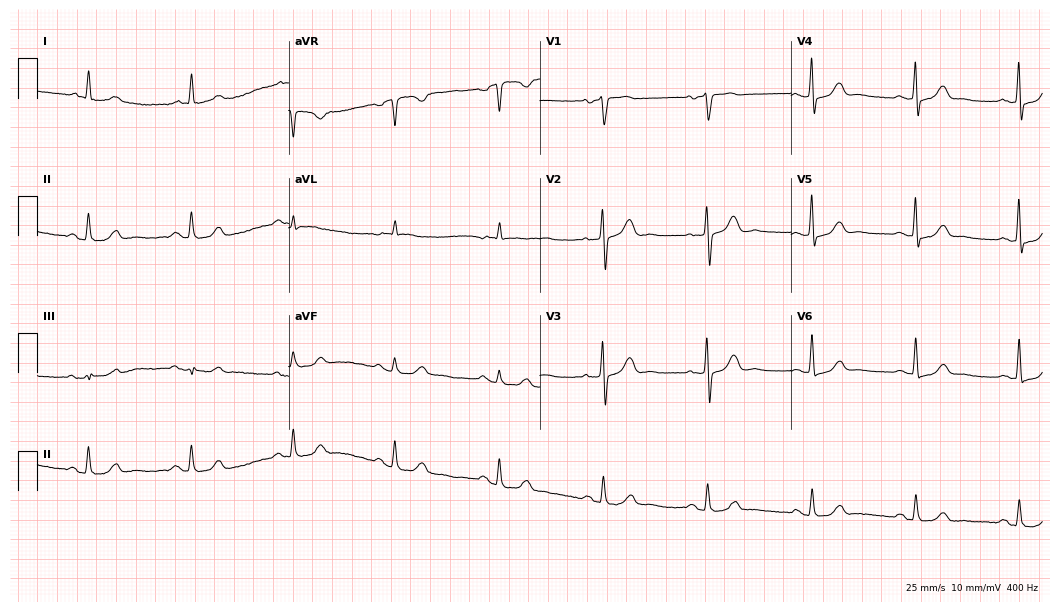
Electrocardiogram, a male patient, 75 years old. Of the six screened findings (first-degree AV block, right bundle branch block (RBBB), left bundle branch block (LBBB), sinus bradycardia, atrial fibrillation (AF), sinus tachycardia), none is recorded.